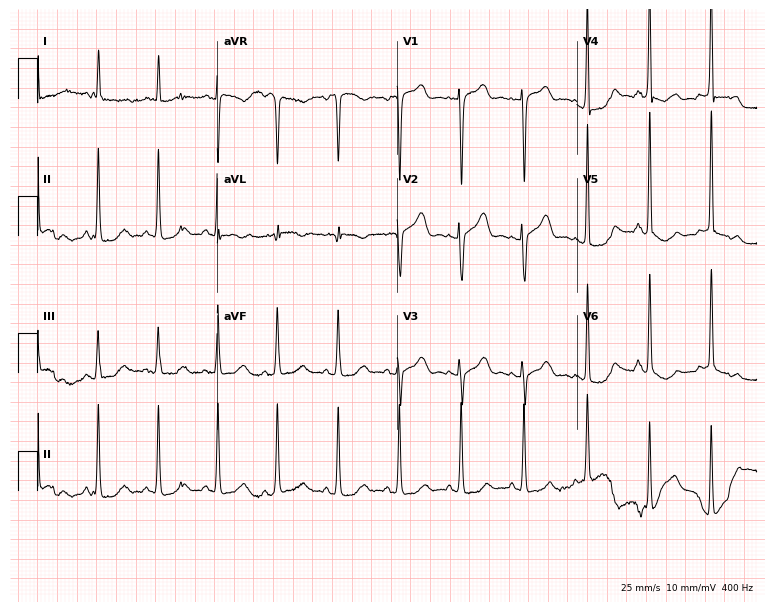
ECG (7.3-second recording at 400 Hz) — a female, 61 years old. Screened for six findings — first-degree AV block, right bundle branch block, left bundle branch block, sinus bradycardia, atrial fibrillation, sinus tachycardia — none is recorded.